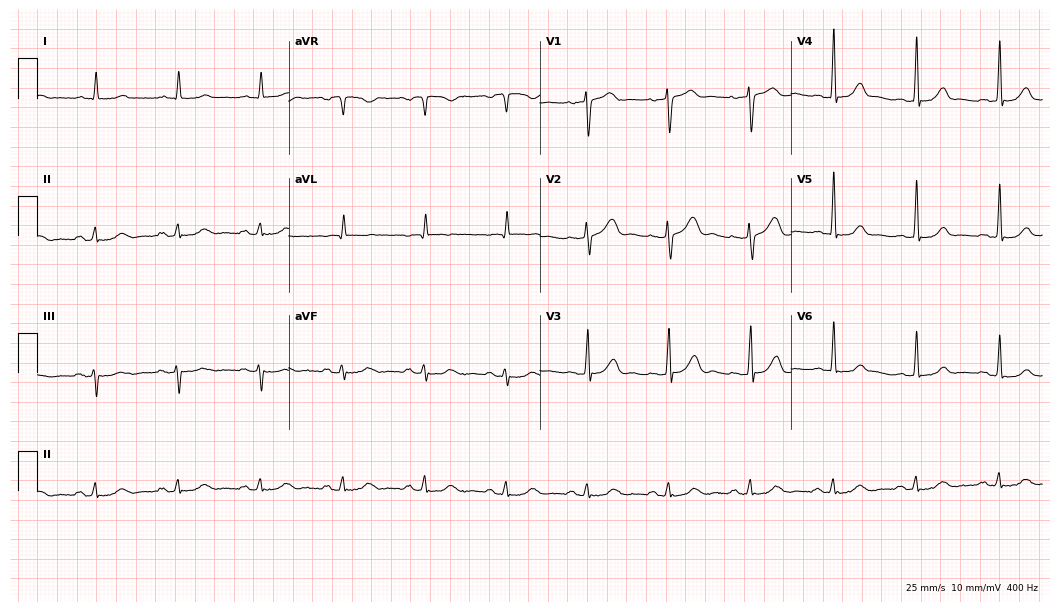
Electrocardiogram, a man, 66 years old. Overall reading on record: normal ECG.